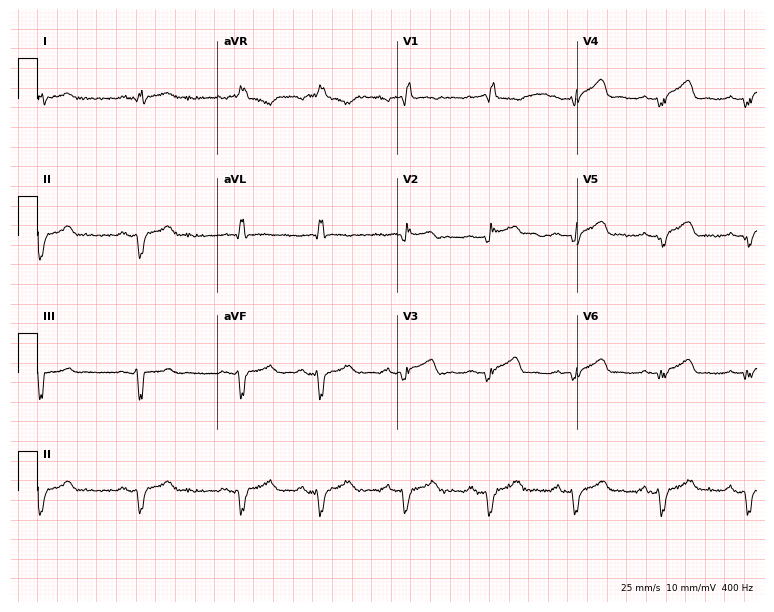
12-lead ECG (7.3-second recording at 400 Hz) from a 78-year-old female patient. Findings include right bundle branch block.